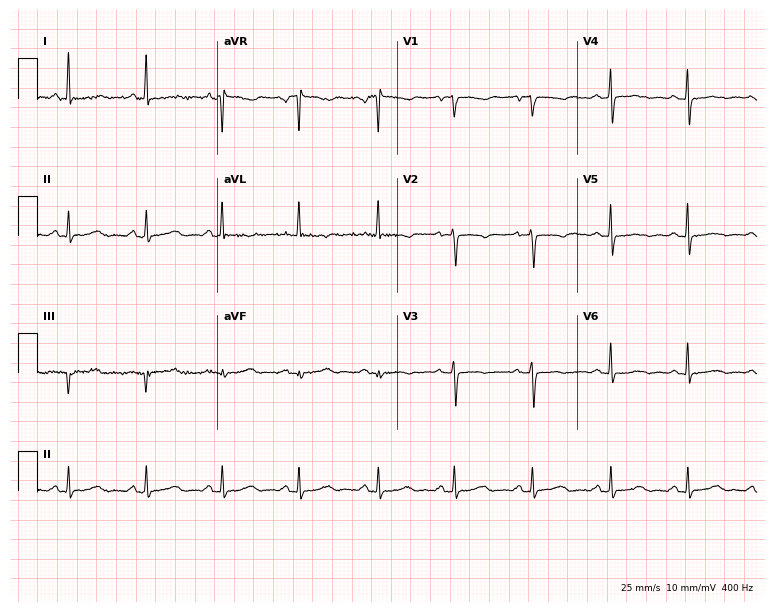
12-lead ECG from a female patient, 79 years old. Screened for six findings — first-degree AV block, right bundle branch block, left bundle branch block, sinus bradycardia, atrial fibrillation, sinus tachycardia — none is recorded. Findings outside these six are not listed.